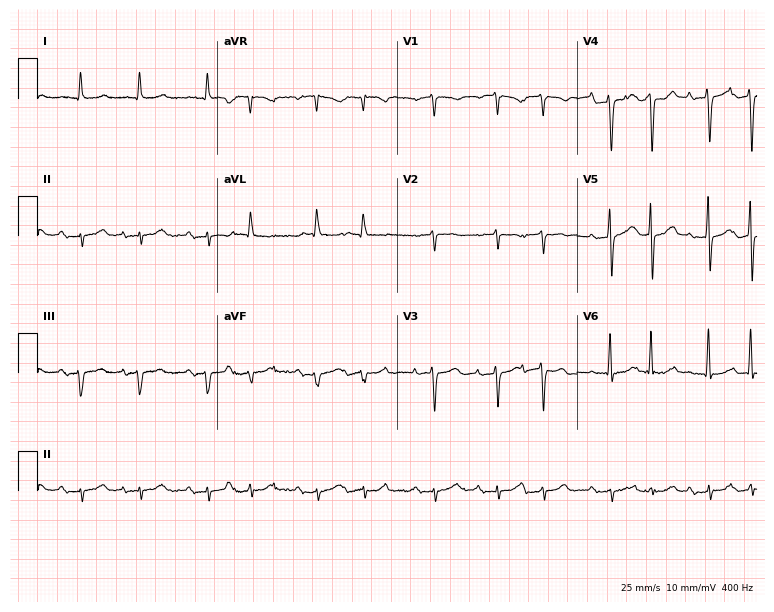
12-lead ECG (7.3-second recording at 400 Hz) from an 81-year-old male patient. Labelled as a normal ECG.